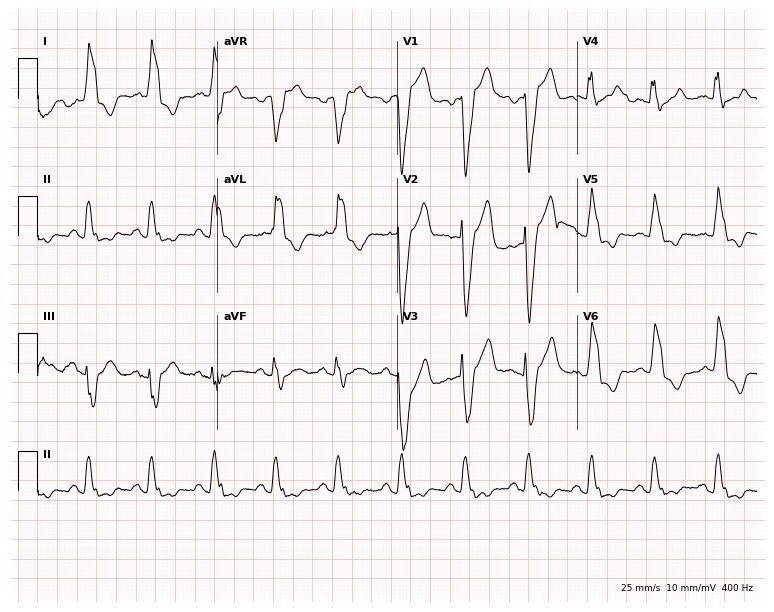
Resting 12-lead electrocardiogram. Patient: a 60-year-old man. The tracing shows left bundle branch block.